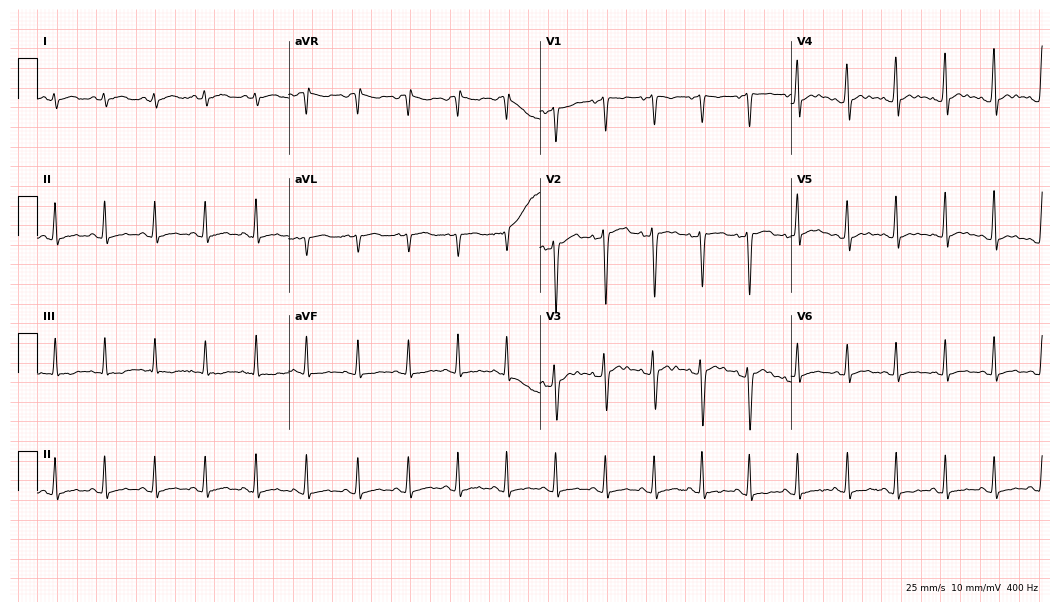
Resting 12-lead electrocardiogram. Patient: a 39-year-old man. The tracing shows sinus tachycardia (a sinus rate of 100 beats per minute or more).